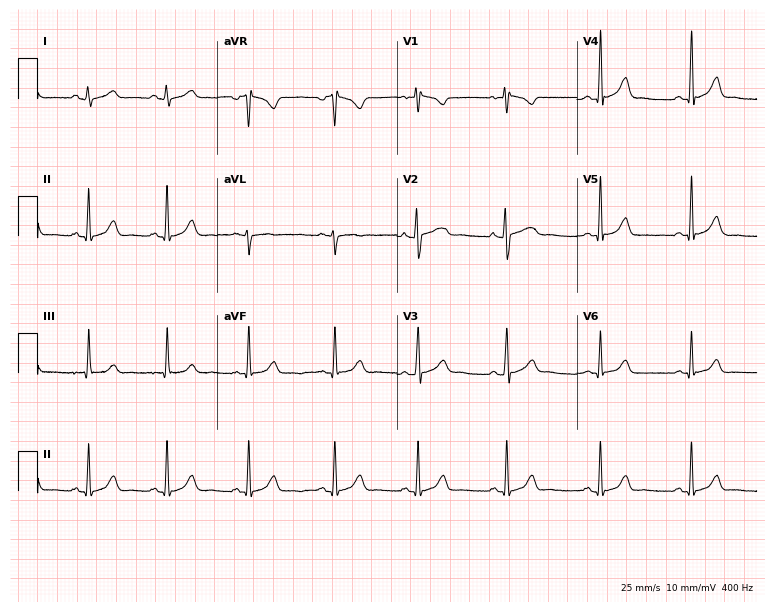
Resting 12-lead electrocardiogram (7.3-second recording at 400 Hz). Patient: a female, 30 years old. Read as a normal ECG.